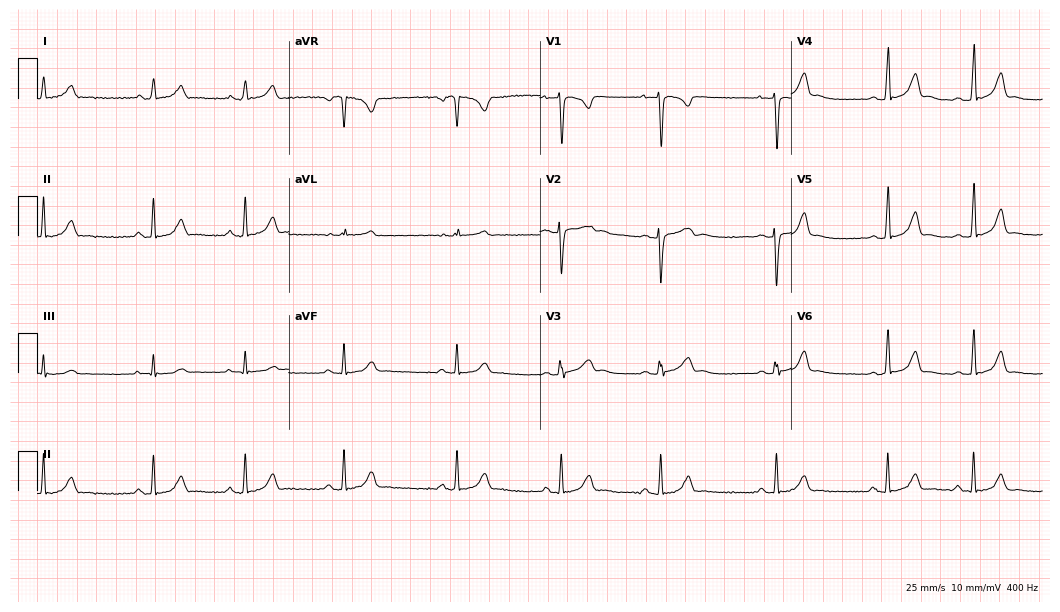
12-lead ECG from a 17-year-old woman (10.2-second recording at 400 Hz). Recorded interpretation: within normal limits.